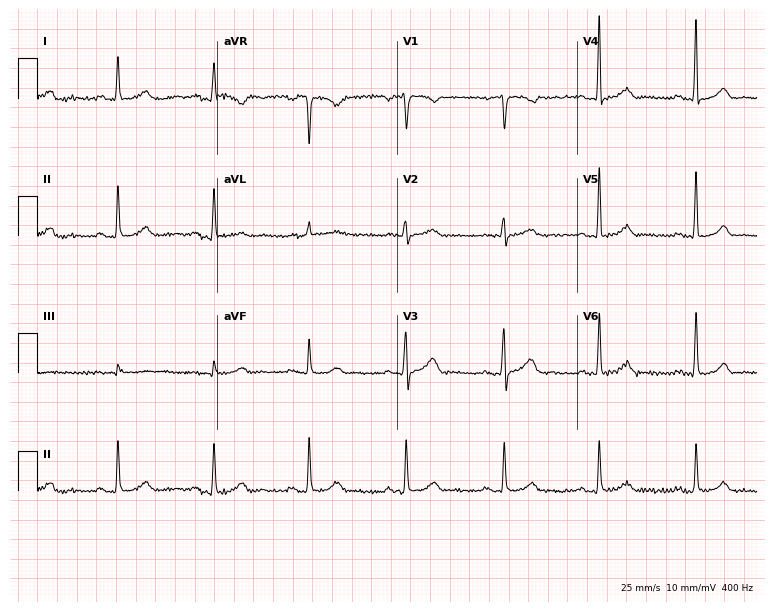
Electrocardiogram (7.3-second recording at 400 Hz), a 62-year-old female. Overall reading on record: normal ECG.